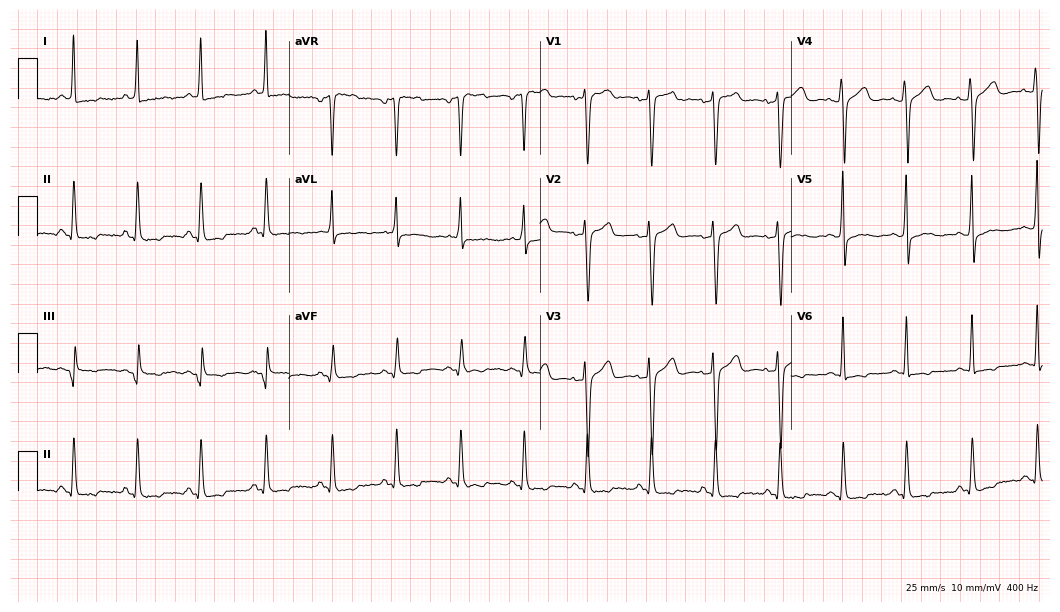
Standard 12-lead ECG recorded from a female patient, 32 years old (10.2-second recording at 400 Hz). None of these six findings is recorded: first-degree AV block, right bundle branch block, left bundle branch block, sinus bradycardia, atrial fibrillation, sinus tachycardia. Findings outside these six are not listed.